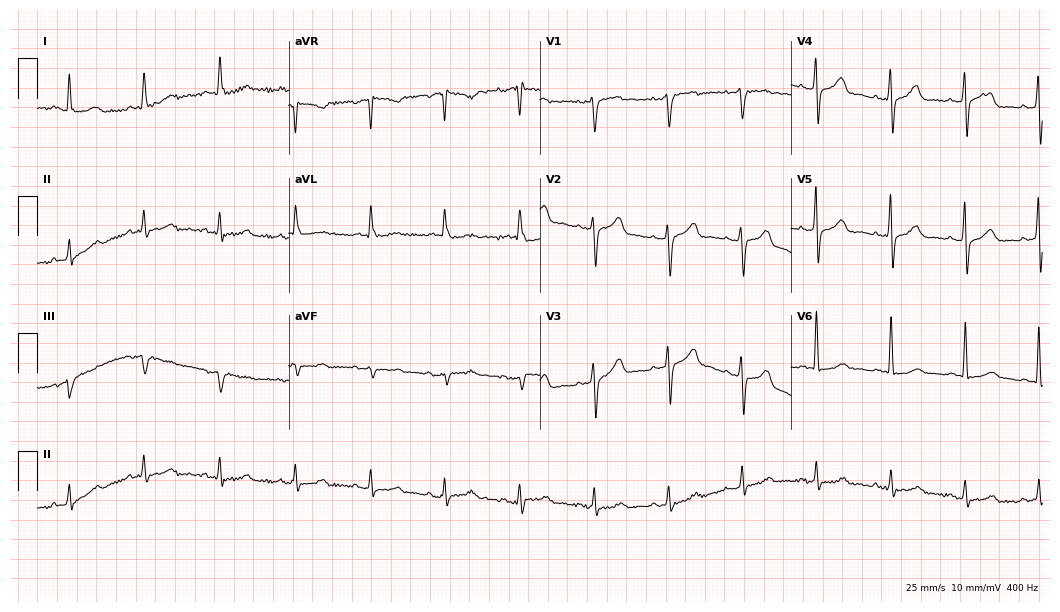
12-lead ECG (10.2-second recording at 400 Hz) from a female, 64 years old. Screened for six findings — first-degree AV block, right bundle branch block, left bundle branch block, sinus bradycardia, atrial fibrillation, sinus tachycardia — none is recorded.